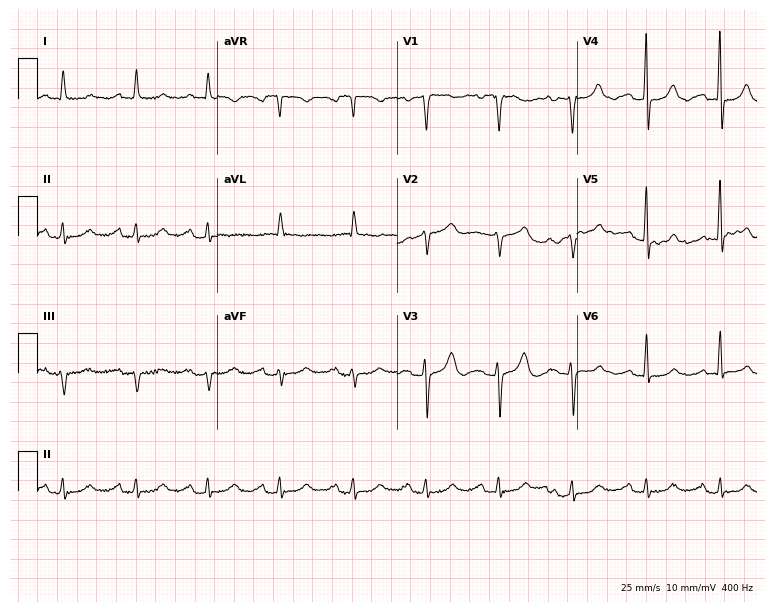
Standard 12-lead ECG recorded from a 65-year-old female (7.3-second recording at 400 Hz). The tracing shows first-degree AV block.